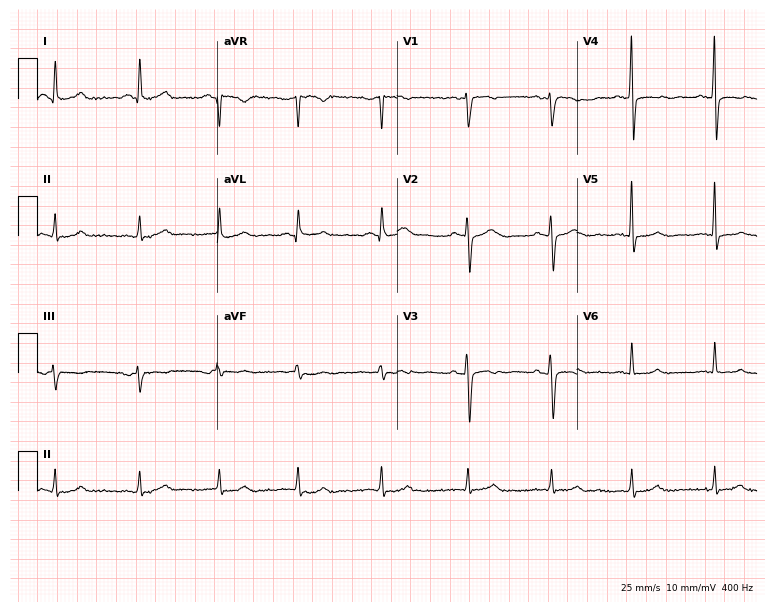
12-lead ECG (7.3-second recording at 400 Hz) from a woman, 49 years old. Screened for six findings — first-degree AV block, right bundle branch block, left bundle branch block, sinus bradycardia, atrial fibrillation, sinus tachycardia — none is recorded. Other findings, if any, are not listed.